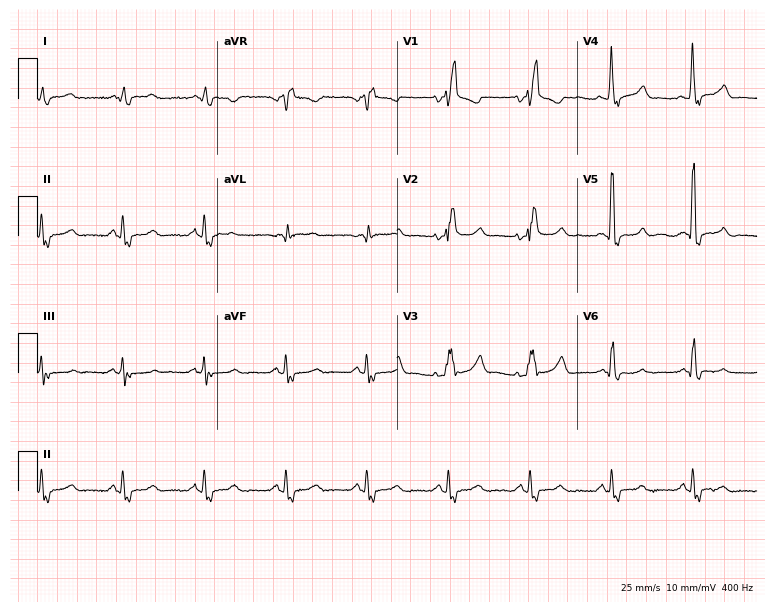
ECG — a 70-year-old man. Findings include right bundle branch block (RBBB).